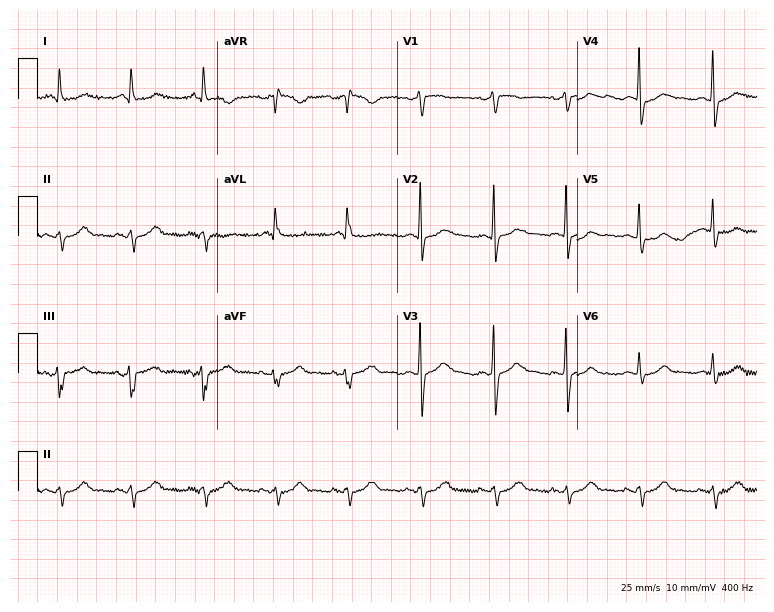
12-lead ECG from a man, 57 years old. No first-degree AV block, right bundle branch block (RBBB), left bundle branch block (LBBB), sinus bradycardia, atrial fibrillation (AF) or sinus tachycardia recorded for this tracing.